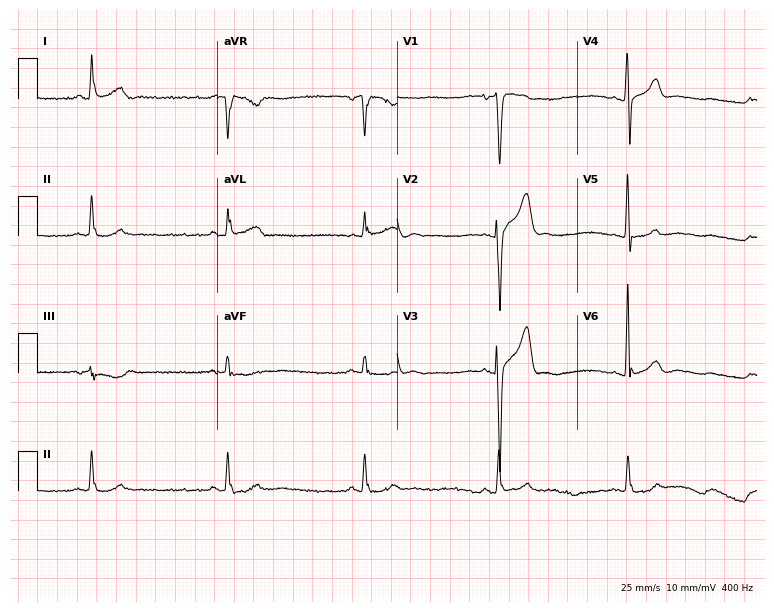
12-lead ECG from a 66-year-old male. Shows sinus bradycardia (a sinus rate of 50 beats per minute or less).